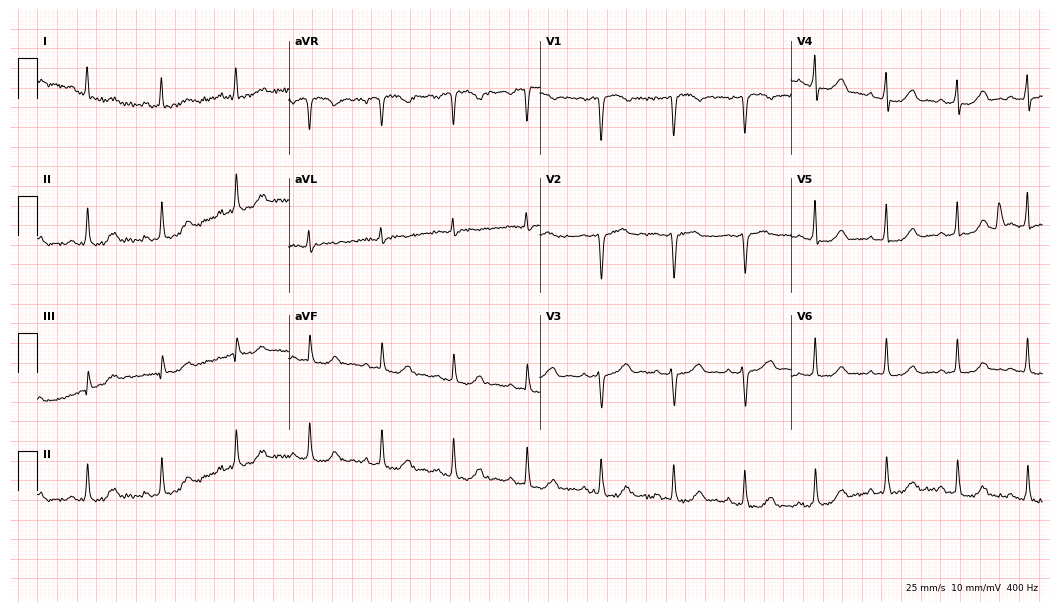
Standard 12-lead ECG recorded from a 45-year-old female patient (10.2-second recording at 400 Hz). None of these six findings is recorded: first-degree AV block, right bundle branch block, left bundle branch block, sinus bradycardia, atrial fibrillation, sinus tachycardia. Only these six findings were labelled.